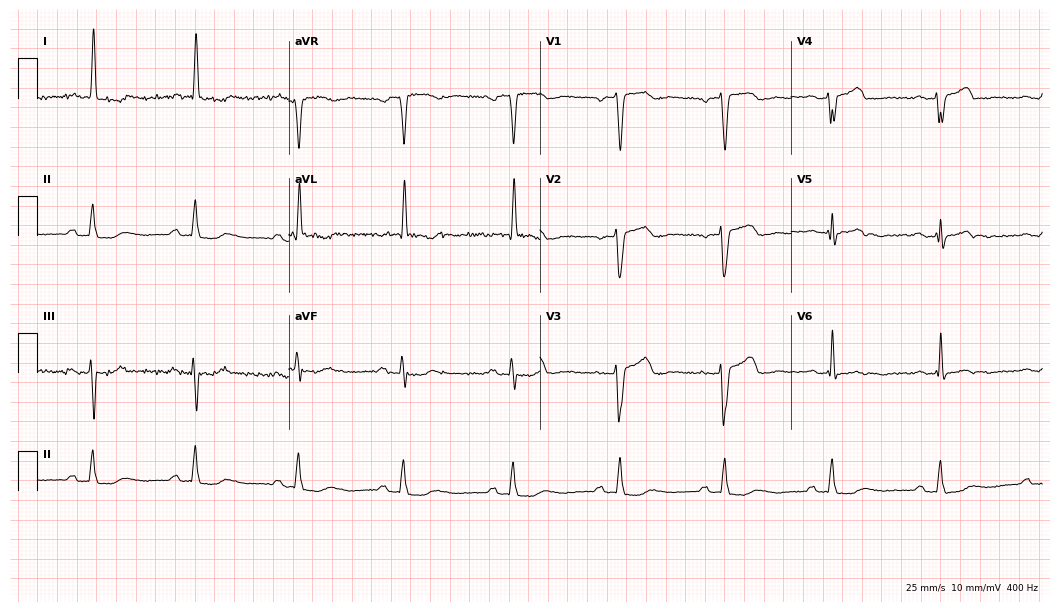
12-lead ECG (10.2-second recording at 400 Hz) from a female, 80 years old. Findings include first-degree AV block, left bundle branch block.